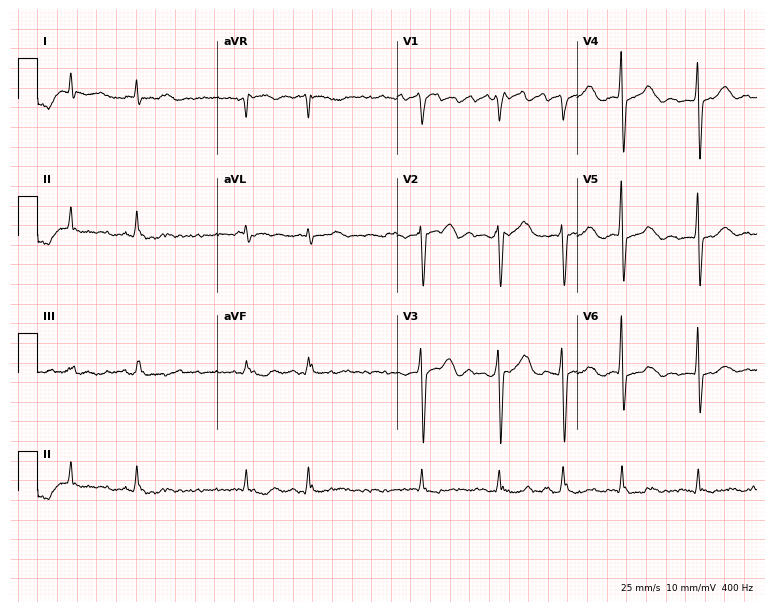
Electrocardiogram, a male, 75 years old. Interpretation includes atrial fibrillation (AF).